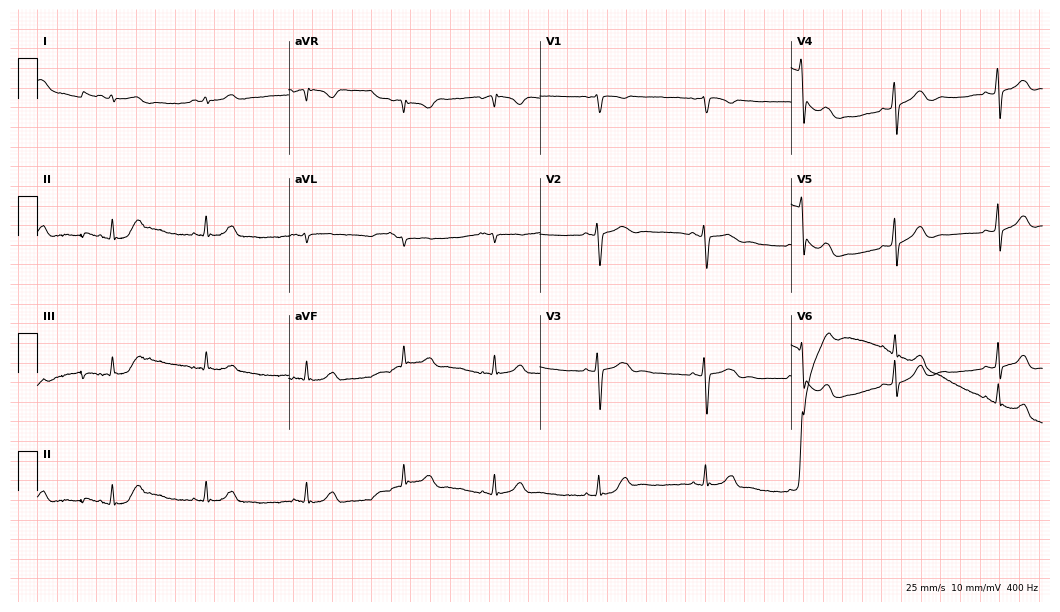
Resting 12-lead electrocardiogram (10.2-second recording at 400 Hz). Patient: a woman, 22 years old. Read as a normal ECG.